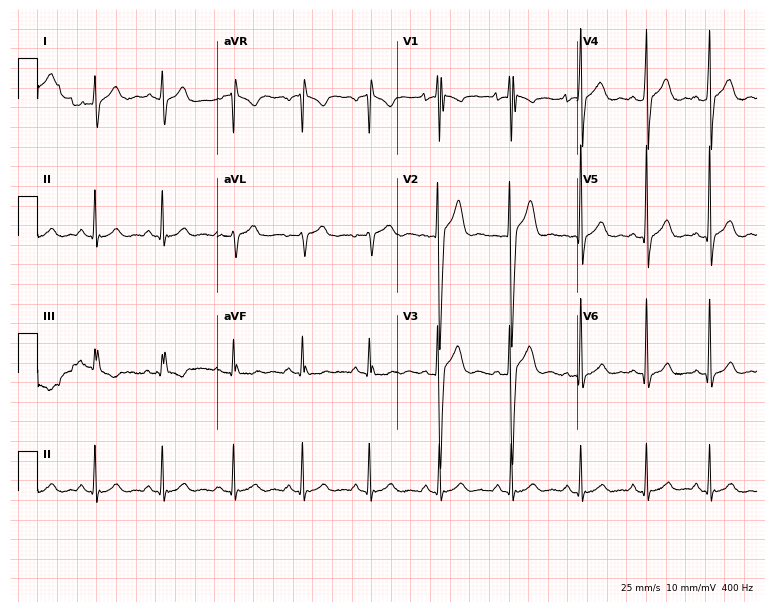
Standard 12-lead ECG recorded from a male, 22 years old. None of these six findings is recorded: first-degree AV block, right bundle branch block, left bundle branch block, sinus bradycardia, atrial fibrillation, sinus tachycardia.